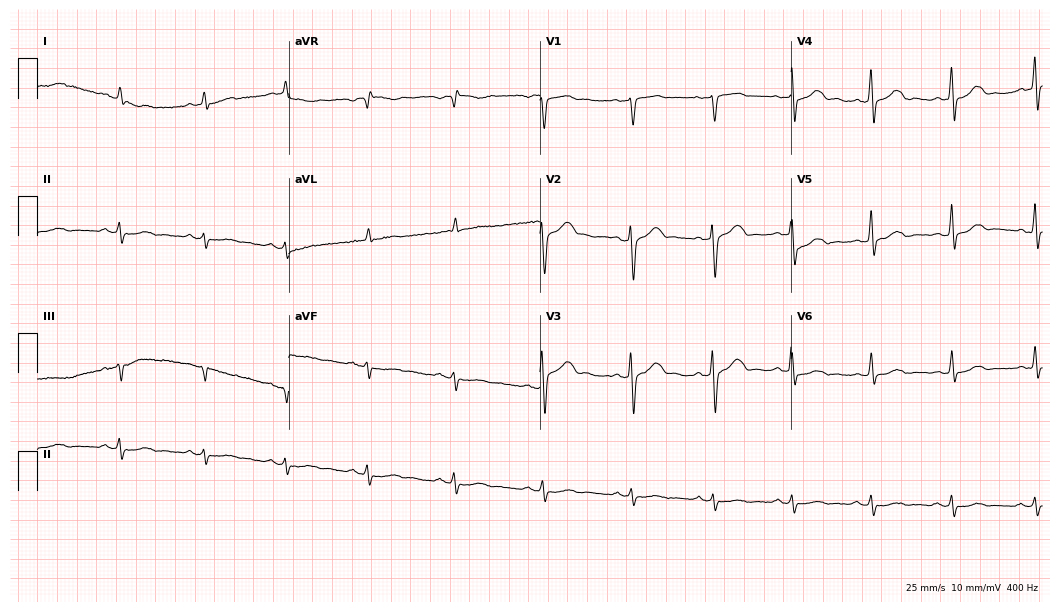
Resting 12-lead electrocardiogram. Patient: a male, 55 years old. Read as a normal ECG.